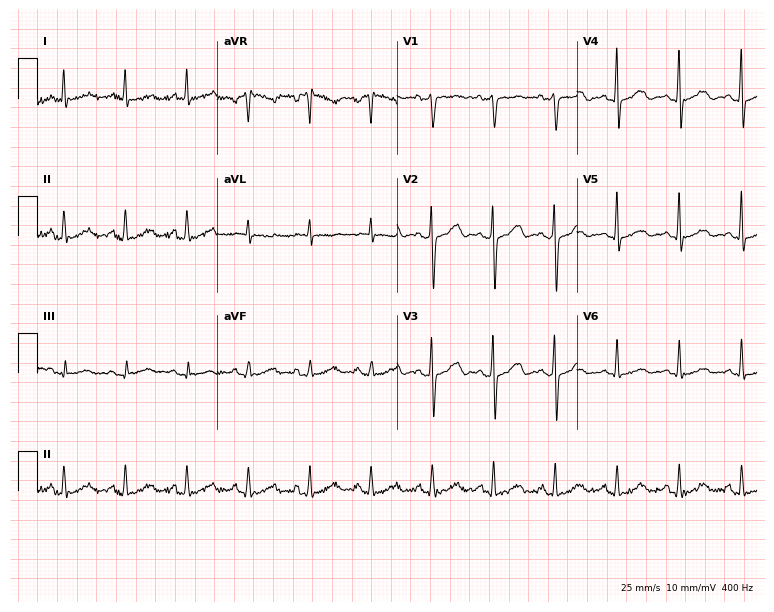
12-lead ECG (7.3-second recording at 400 Hz) from a 56-year-old female patient. Screened for six findings — first-degree AV block, right bundle branch block (RBBB), left bundle branch block (LBBB), sinus bradycardia, atrial fibrillation (AF), sinus tachycardia — none is recorded.